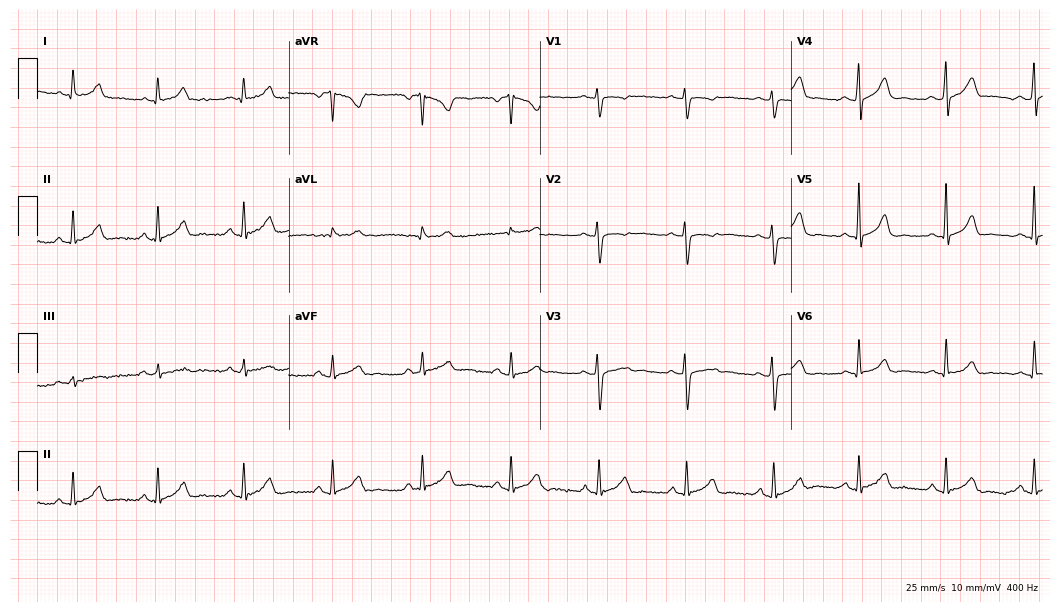
12-lead ECG from a 35-year-old female patient. Screened for six findings — first-degree AV block, right bundle branch block, left bundle branch block, sinus bradycardia, atrial fibrillation, sinus tachycardia — none is recorded.